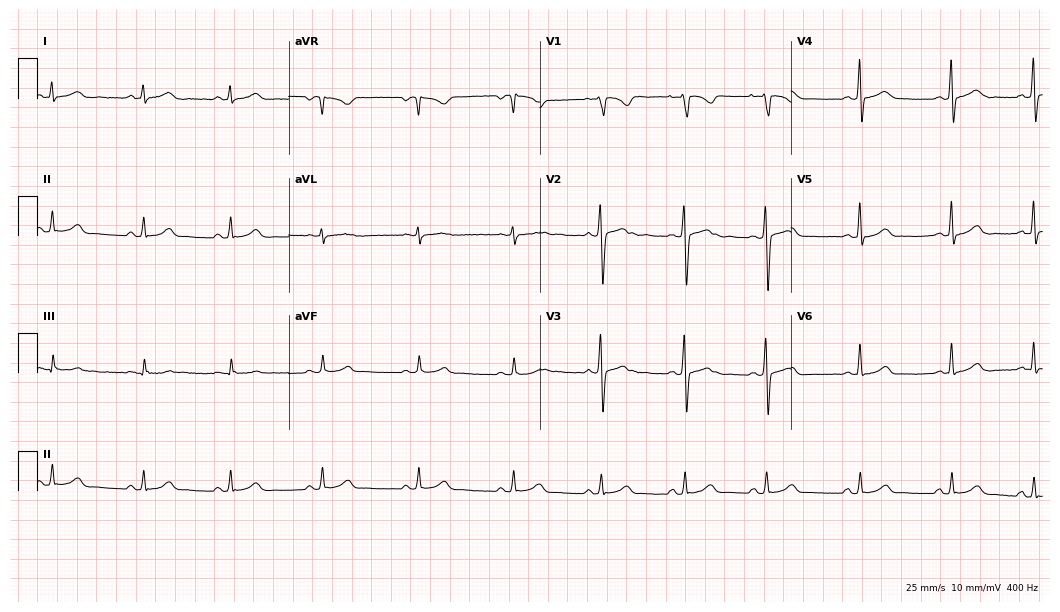
Standard 12-lead ECG recorded from an 18-year-old woman. Read as a normal ECG.